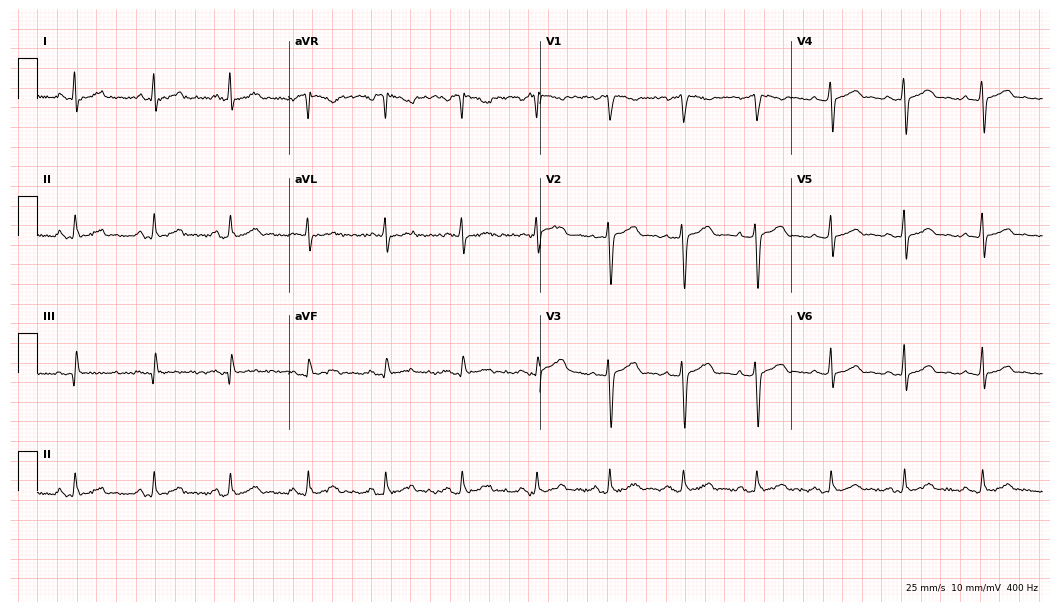
Standard 12-lead ECG recorded from a female patient, 27 years old. Read as a normal ECG.